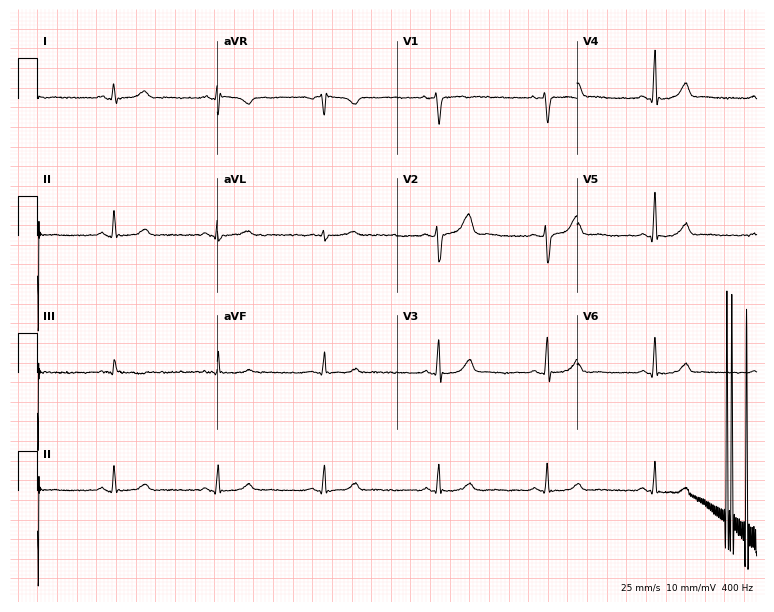
Resting 12-lead electrocardiogram (7.3-second recording at 400 Hz). Patient: a 31-year-old female. Read as a normal ECG.